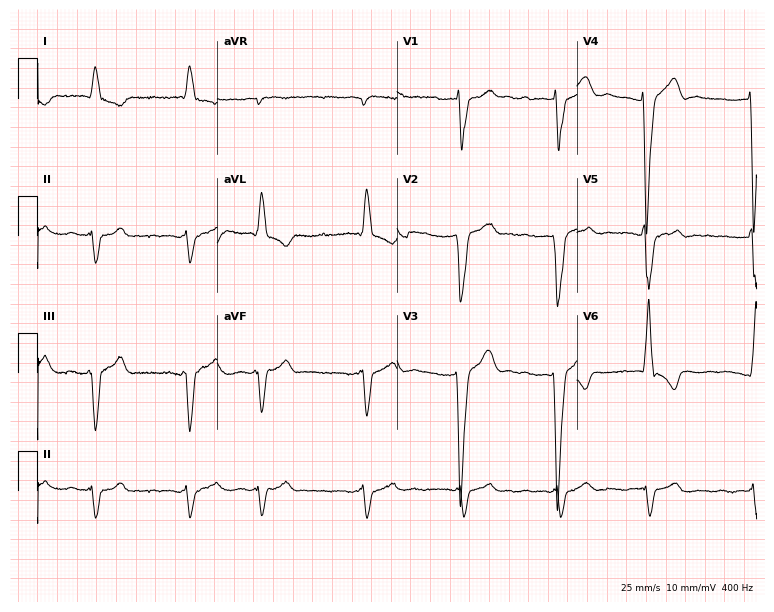
12-lead ECG from a 75-year-old male patient. Findings include left bundle branch block (LBBB), atrial fibrillation (AF).